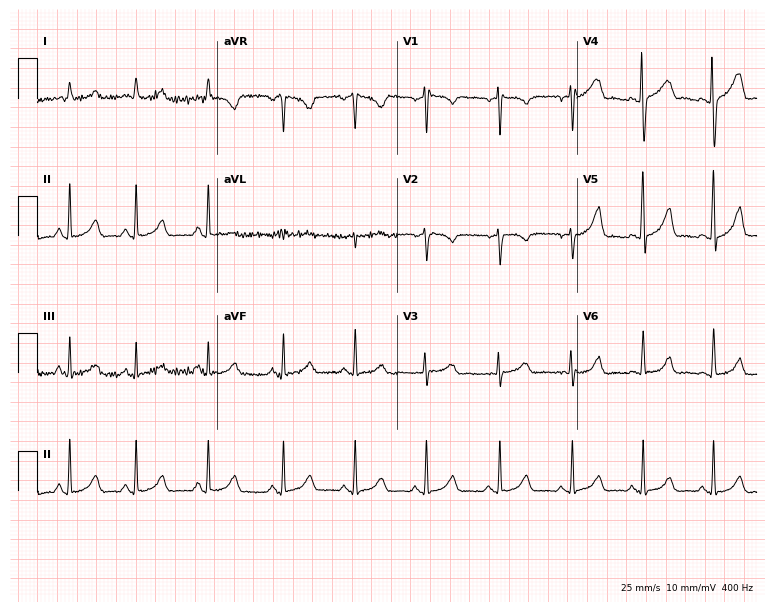
ECG — a 34-year-old female. Labelled as a normal ECG.